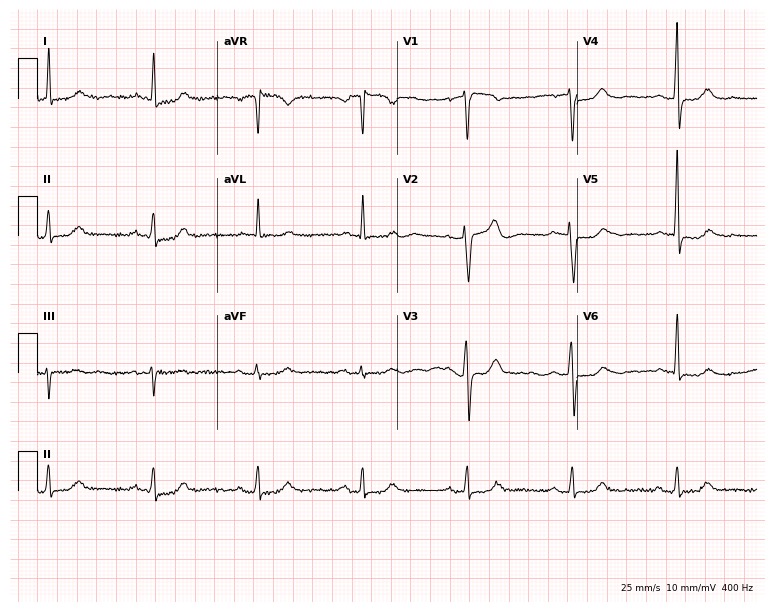
12-lead ECG from an 80-year-old man. No first-degree AV block, right bundle branch block, left bundle branch block, sinus bradycardia, atrial fibrillation or sinus tachycardia recorded for this tracing.